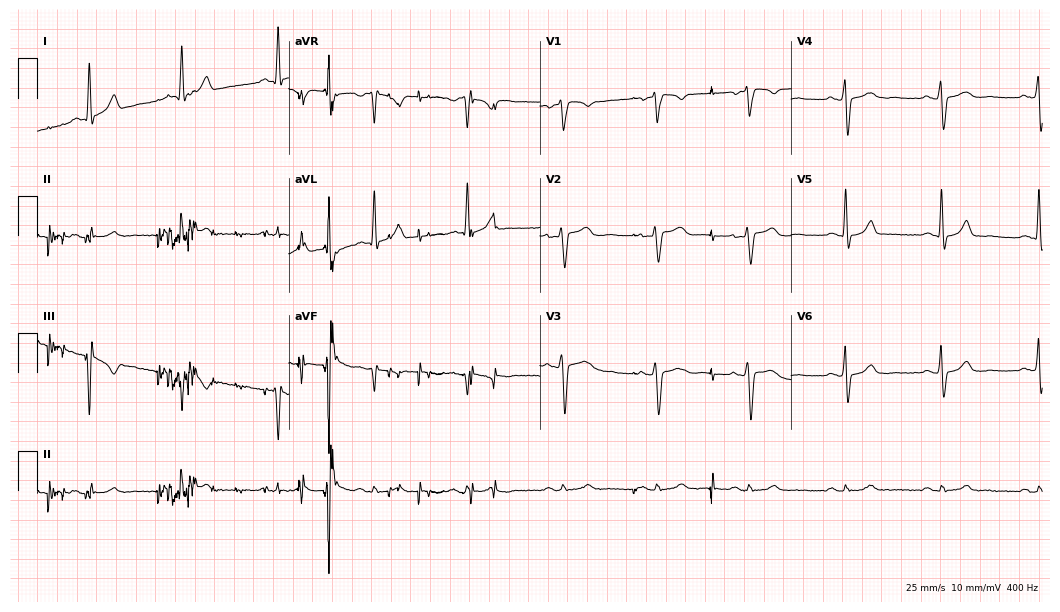
Standard 12-lead ECG recorded from a 45-year-old man. None of these six findings is recorded: first-degree AV block, right bundle branch block (RBBB), left bundle branch block (LBBB), sinus bradycardia, atrial fibrillation (AF), sinus tachycardia.